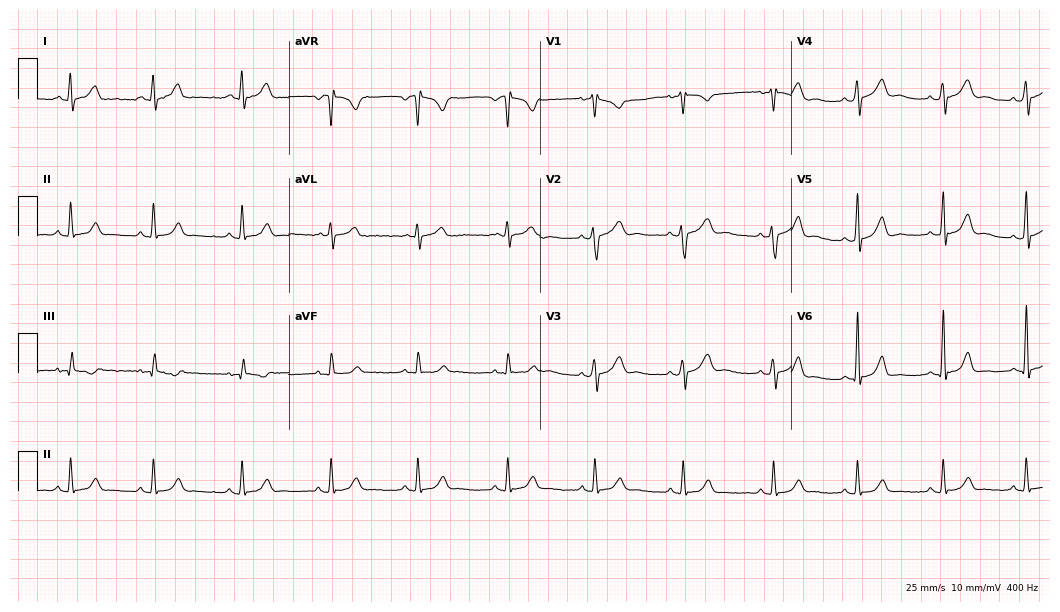
Standard 12-lead ECG recorded from a 19-year-old woman (10.2-second recording at 400 Hz). Read as a normal ECG.